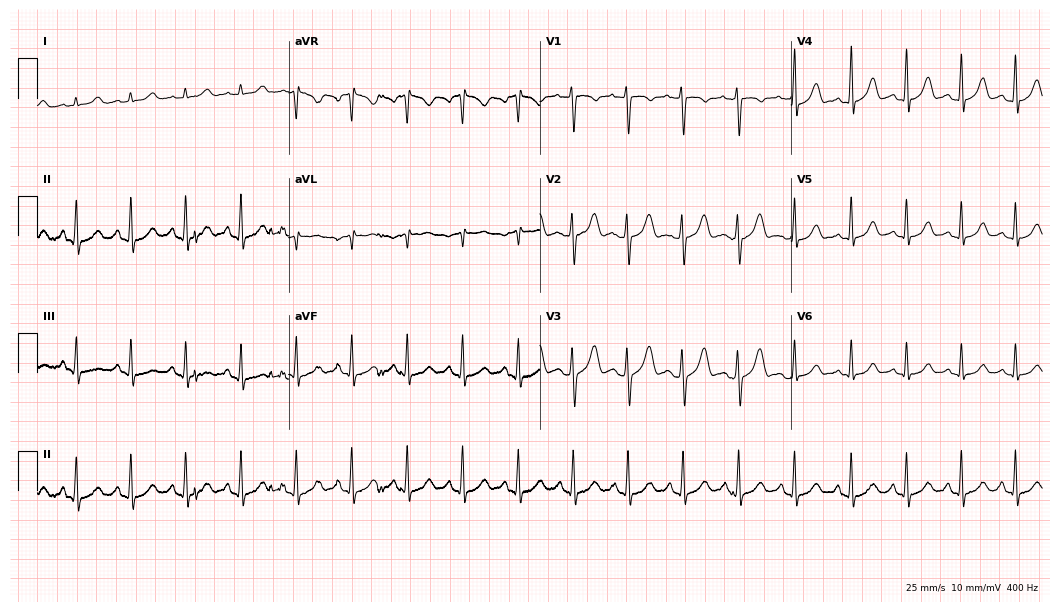
12-lead ECG (10.2-second recording at 400 Hz) from a 20-year-old female. Findings include sinus tachycardia (a sinus rate of 100 beats per minute or more).